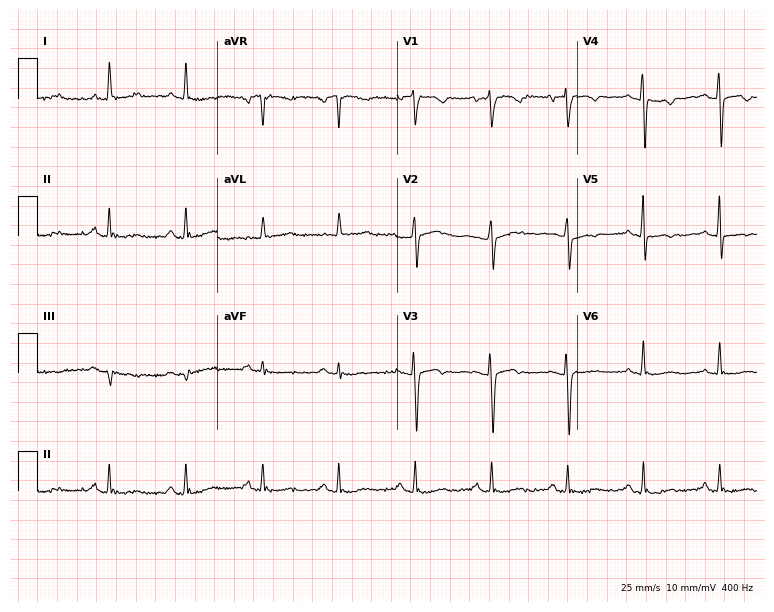
Standard 12-lead ECG recorded from a 65-year-old female patient. Read as a normal ECG.